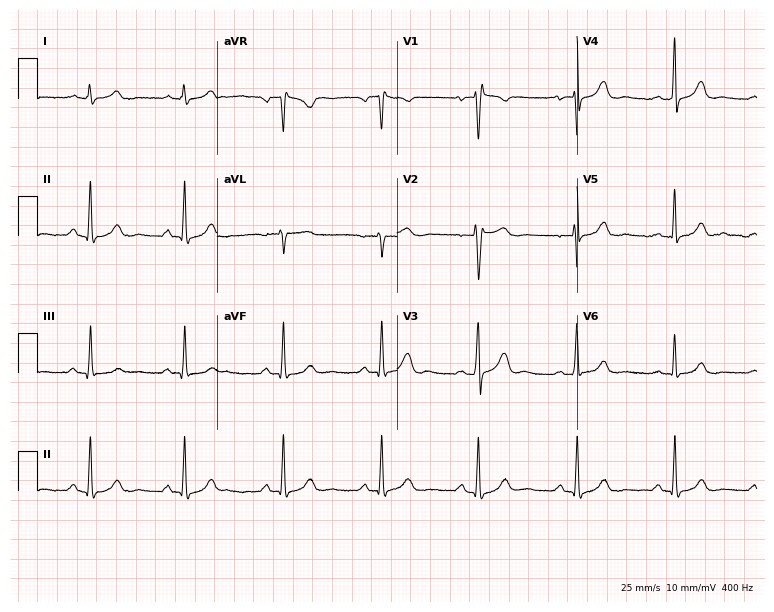
12-lead ECG from a female, 35 years old (7.3-second recording at 400 Hz). No first-degree AV block, right bundle branch block (RBBB), left bundle branch block (LBBB), sinus bradycardia, atrial fibrillation (AF) or sinus tachycardia recorded for this tracing.